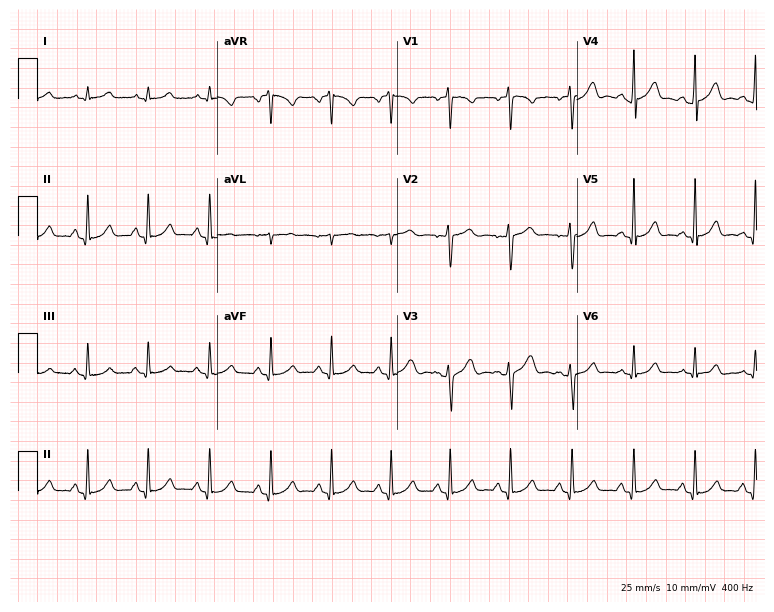
Resting 12-lead electrocardiogram (7.3-second recording at 400 Hz). Patient: a 41-year-old female. Read as a normal ECG.